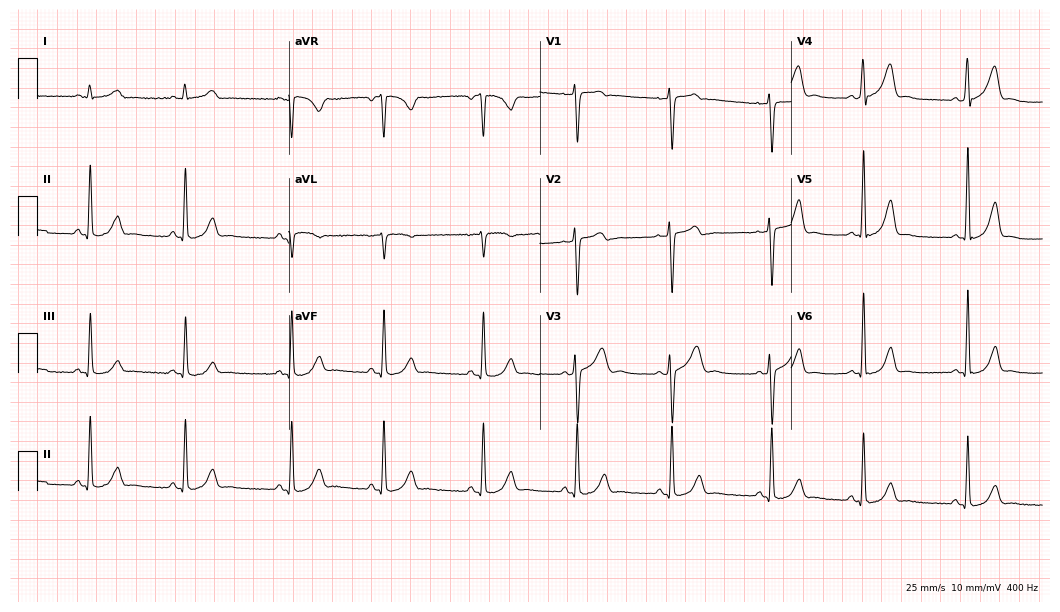
12-lead ECG (10.2-second recording at 400 Hz) from a female, 27 years old. Labelled as a normal ECG.